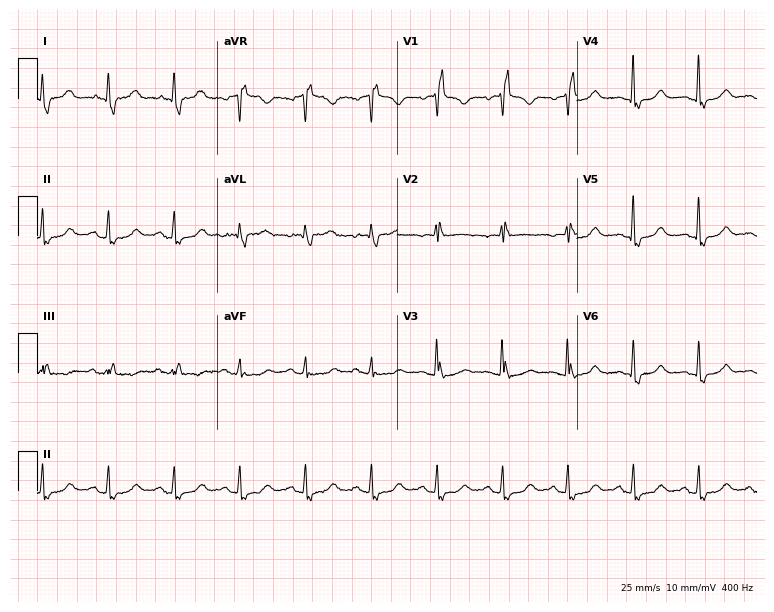
ECG (7.3-second recording at 400 Hz) — a female patient, 65 years old. Findings include right bundle branch block (RBBB).